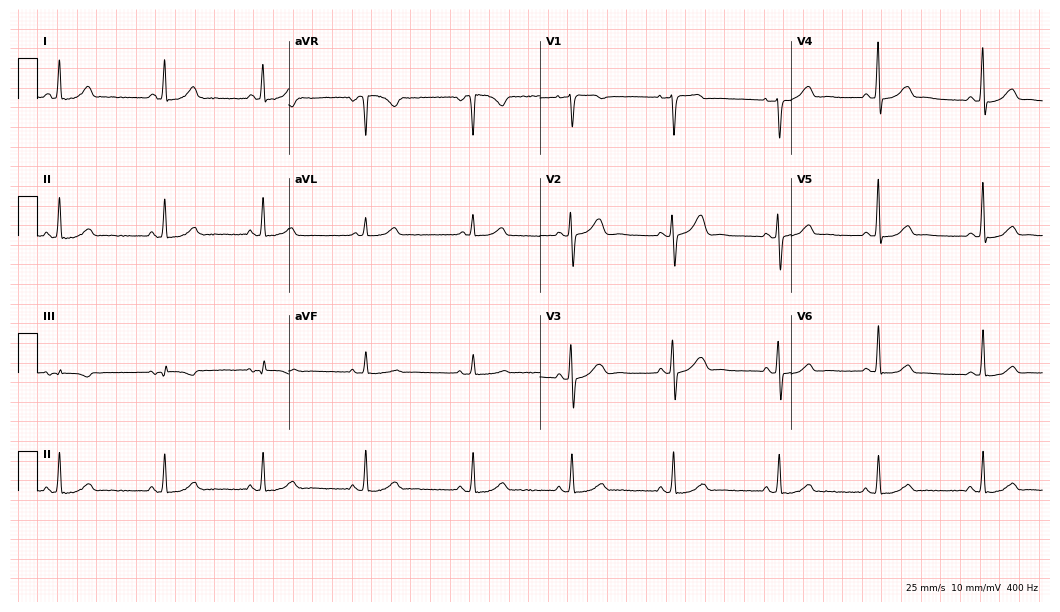
ECG — a 49-year-old female patient. Labelled as a normal ECG.